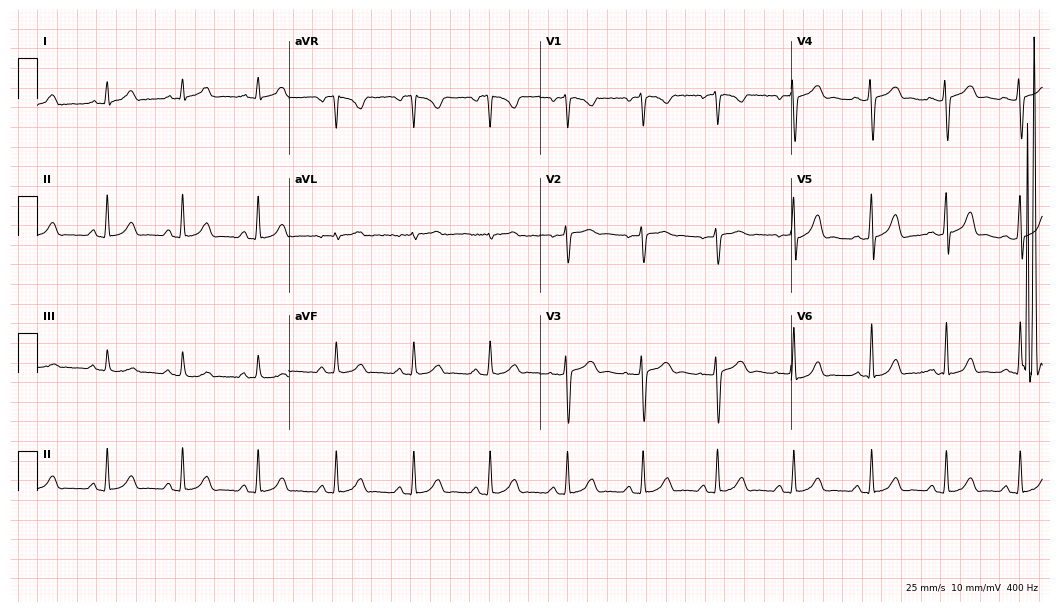
Standard 12-lead ECG recorded from a male, 24 years old. Read as a normal ECG.